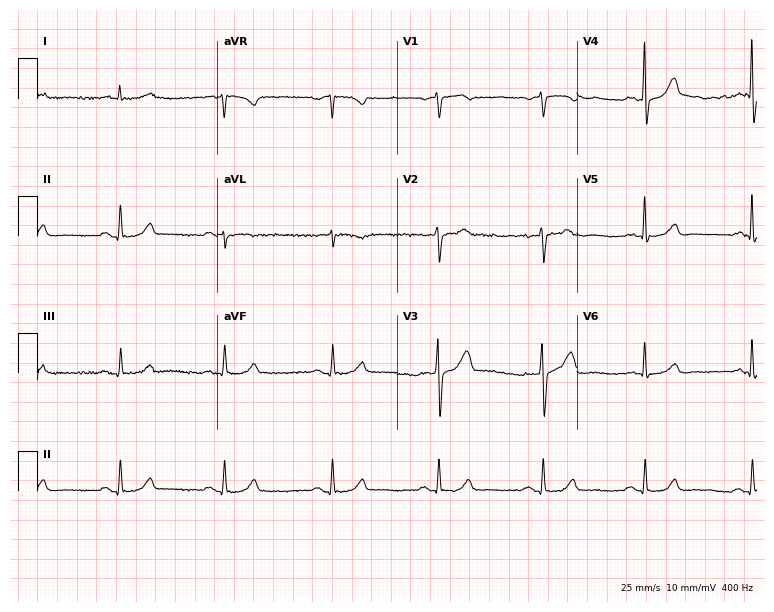
Electrocardiogram (7.3-second recording at 400 Hz), a male patient, 69 years old. Overall reading on record: normal ECG.